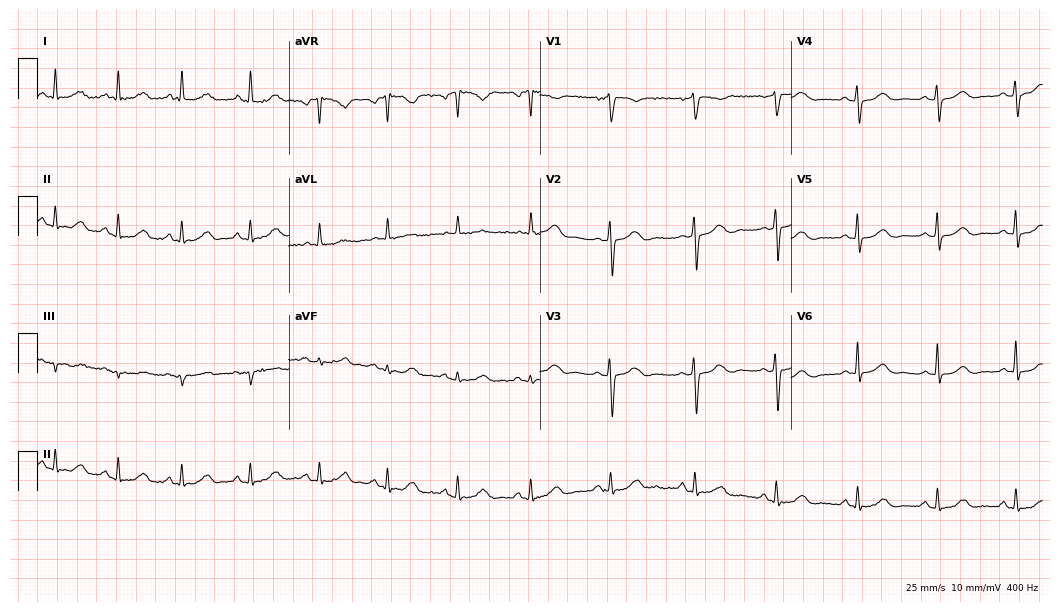
Electrocardiogram, a 53-year-old female patient. Of the six screened findings (first-degree AV block, right bundle branch block, left bundle branch block, sinus bradycardia, atrial fibrillation, sinus tachycardia), none is recorded. Findings outside these six are not listed.